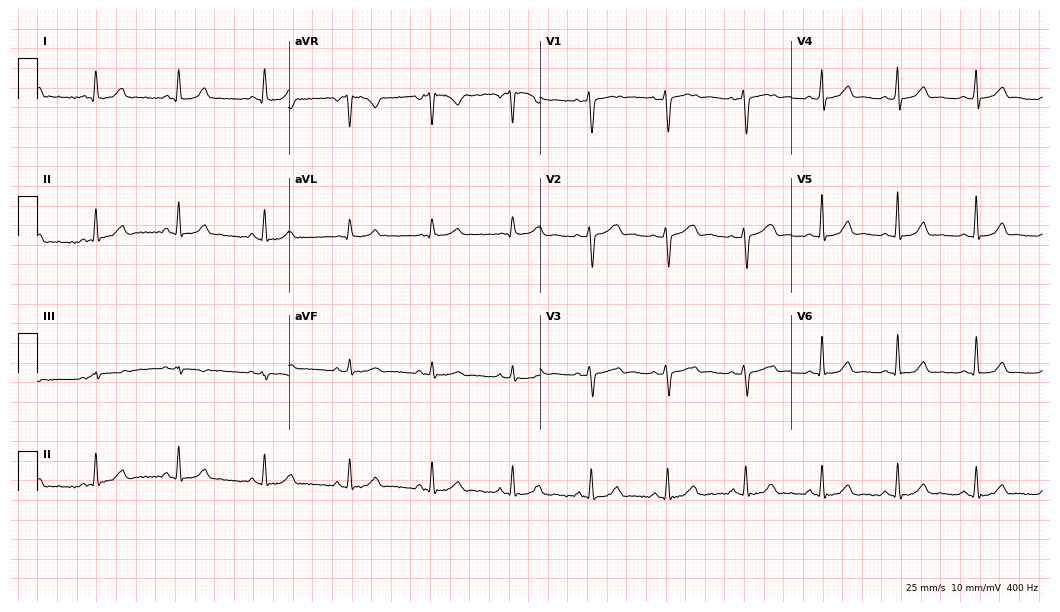
12-lead ECG from a woman, 45 years old. Labelled as a normal ECG.